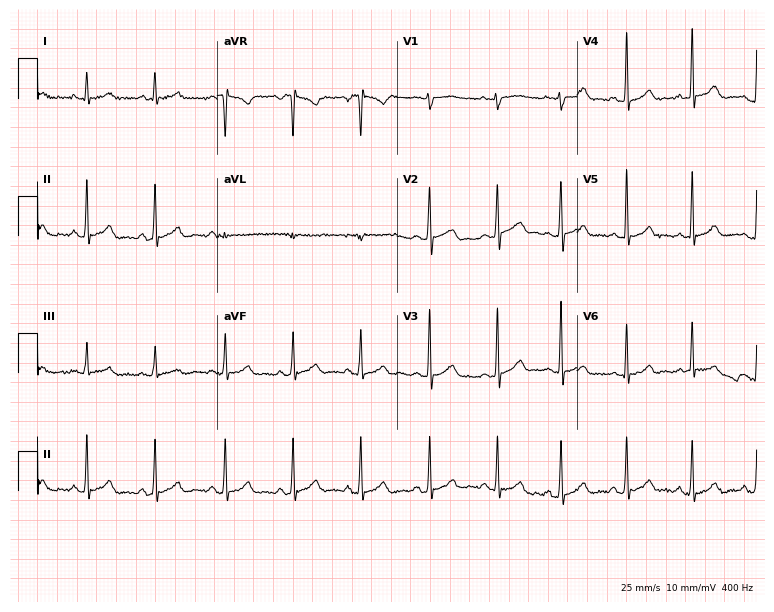
ECG (7.3-second recording at 400 Hz) — a woman, 19 years old. Screened for six findings — first-degree AV block, right bundle branch block (RBBB), left bundle branch block (LBBB), sinus bradycardia, atrial fibrillation (AF), sinus tachycardia — none is recorded. Other findings, if any, are not listed.